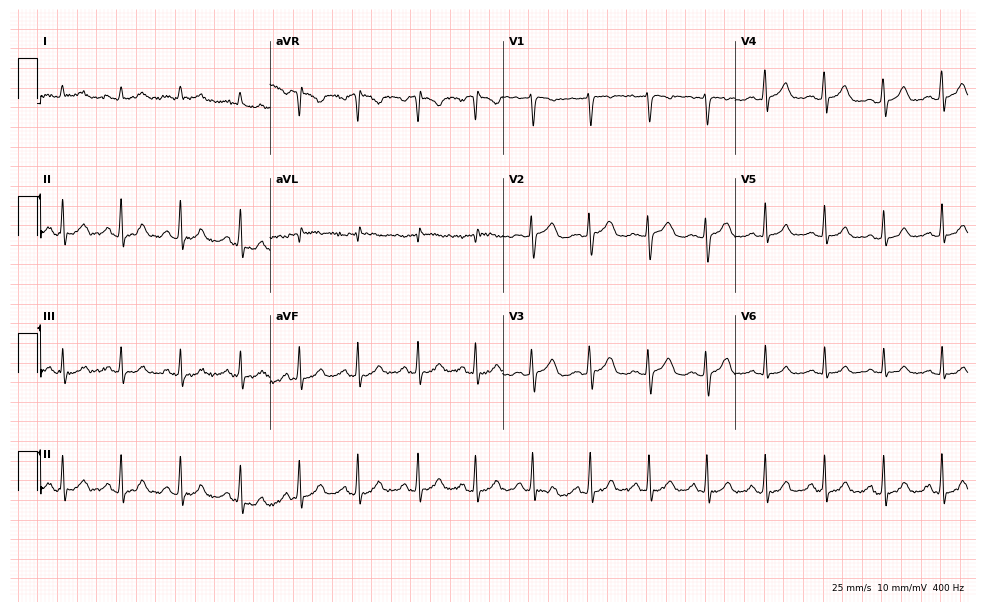
Electrocardiogram, a female patient, 23 years old. Overall reading on record: normal ECG.